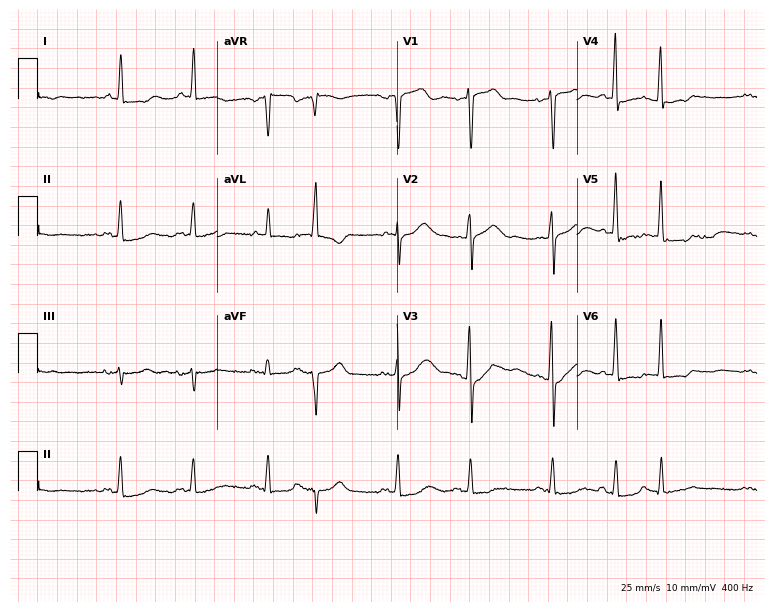
Standard 12-lead ECG recorded from an 85-year-old male patient. None of these six findings is recorded: first-degree AV block, right bundle branch block (RBBB), left bundle branch block (LBBB), sinus bradycardia, atrial fibrillation (AF), sinus tachycardia. Only these six findings were labelled.